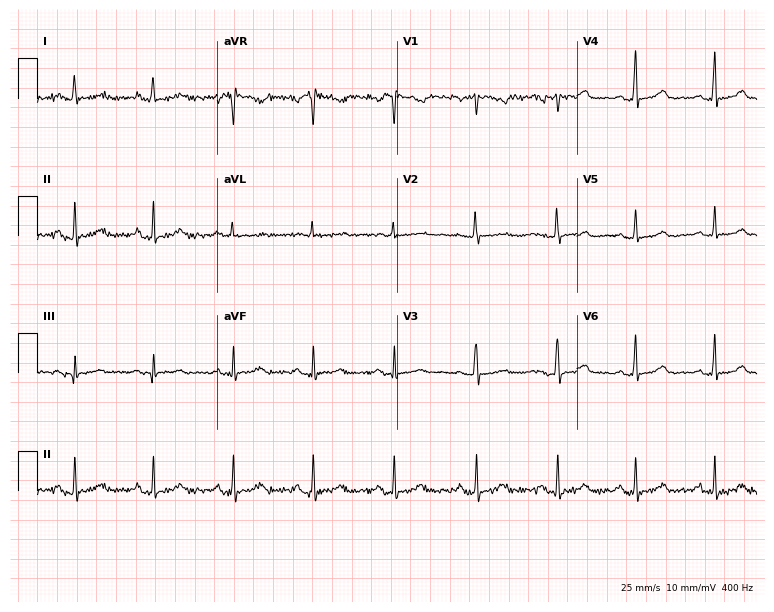
Electrocardiogram (7.3-second recording at 400 Hz), a 35-year-old woman. Of the six screened findings (first-degree AV block, right bundle branch block (RBBB), left bundle branch block (LBBB), sinus bradycardia, atrial fibrillation (AF), sinus tachycardia), none is recorded. Only these six findings were labelled.